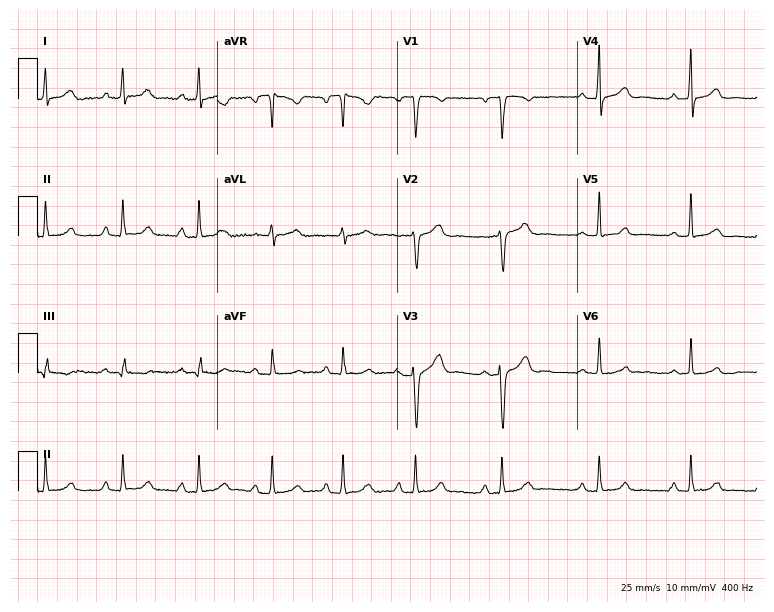
Resting 12-lead electrocardiogram (7.3-second recording at 400 Hz). Patient: a 54-year-old woman. Read as a normal ECG.